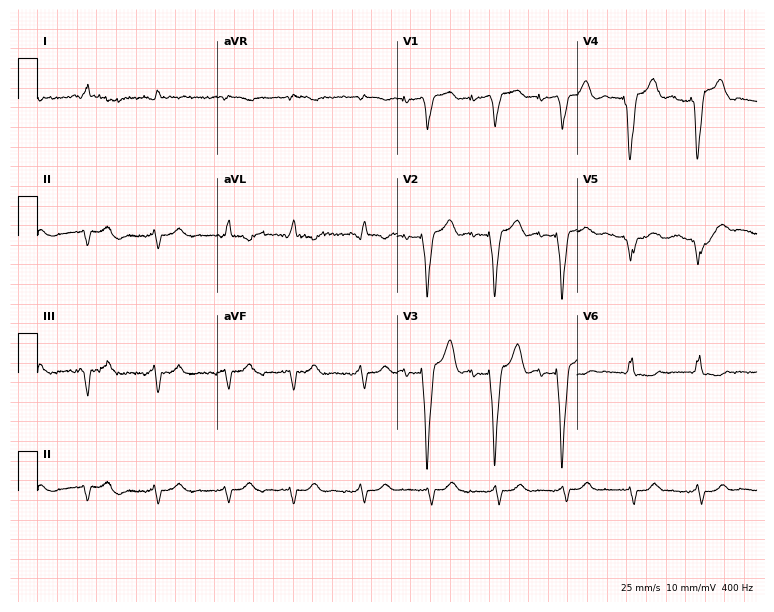
Electrocardiogram (7.3-second recording at 400 Hz), a female, 77 years old. Of the six screened findings (first-degree AV block, right bundle branch block, left bundle branch block, sinus bradycardia, atrial fibrillation, sinus tachycardia), none is recorded. Only these six findings were labelled.